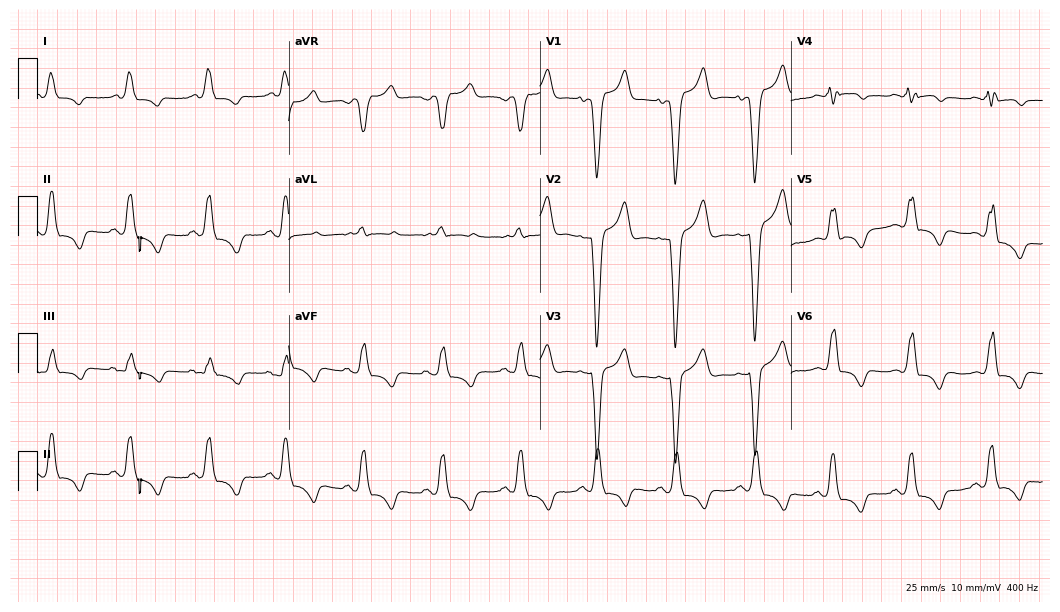
12-lead ECG from a 72-year-old woman (10.2-second recording at 400 Hz). Shows left bundle branch block.